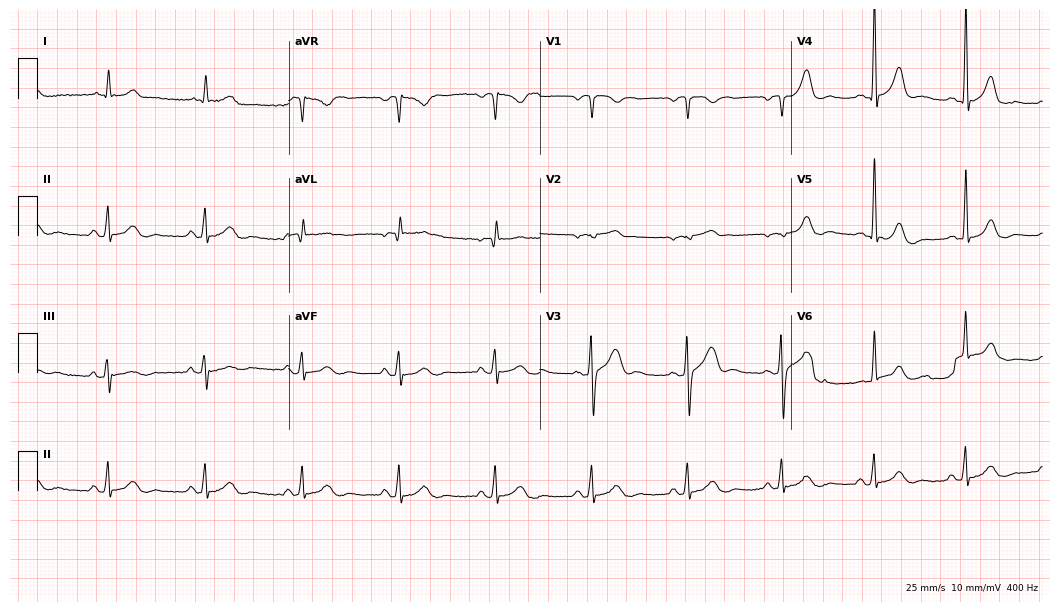
Standard 12-lead ECG recorded from a male patient, 71 years old (10.2-second recording at 400 Hz). Read as a normal ECG.